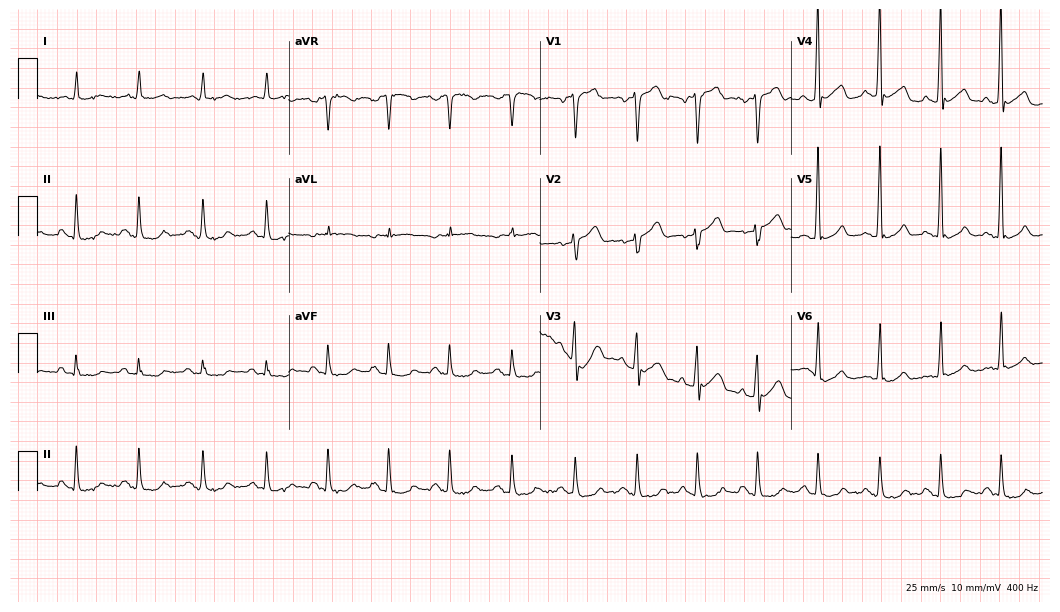
Resting 12-lead electrocardiogram. Patient: a male, 72 years old. Read as a normal ECG.